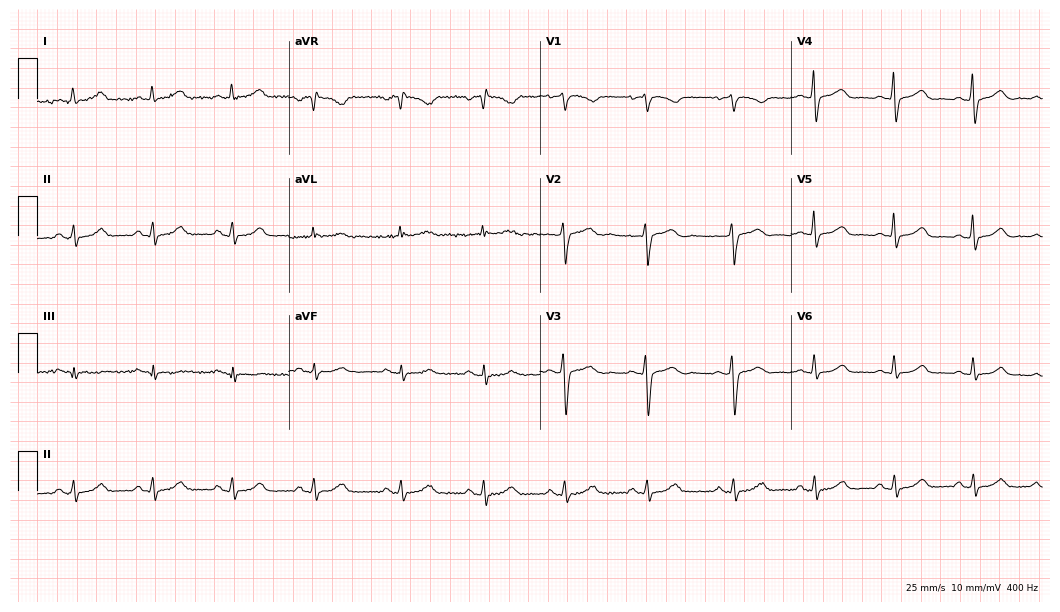
Standard 12-lead ECG recorded from a woman, 49 years old. Read as a normal ECG.